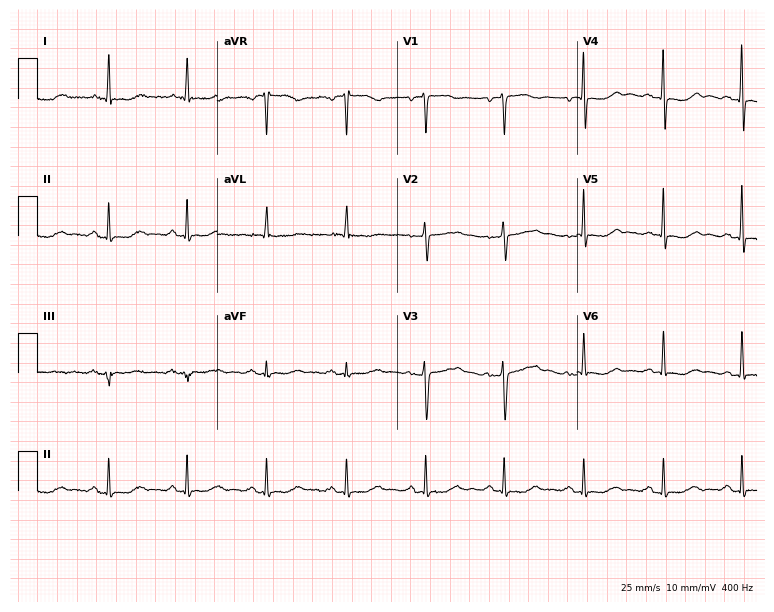
Electrocardiogram, a 60-year-old female. Of the six screened findings (first-degree AV block, right bundle branch block, left bundle branch block, sinus bradycardia, atrial fibrillation, sinus tachycardia), none is recorded. Only these six findings were labelled.